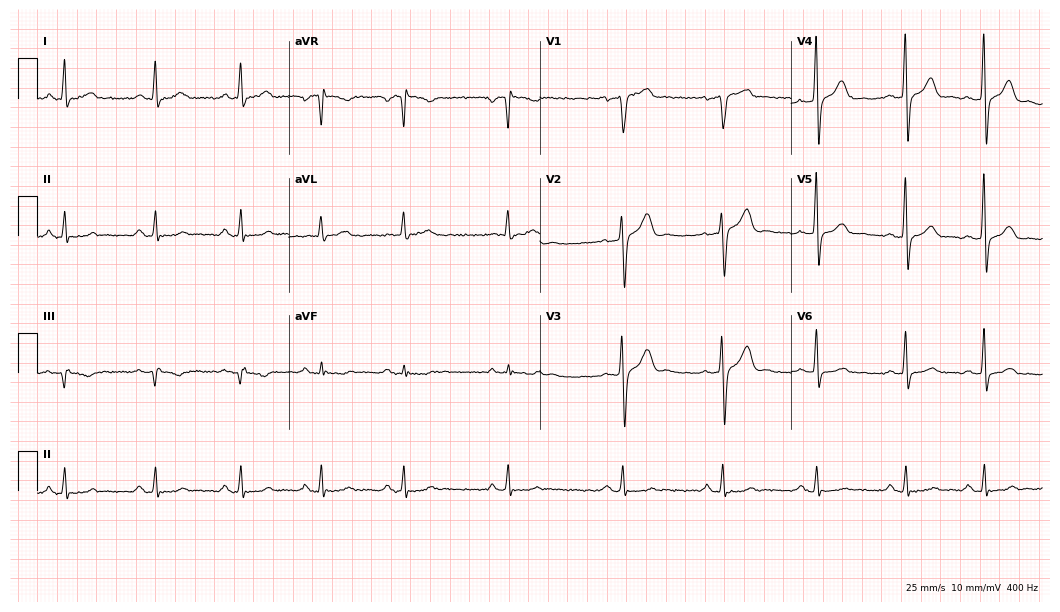
12-lead ECG (10.2-second recording at 400 Hz) from a male, 54 years old. Screened for six findings — first-degree AV block, right bundle branch block (RBBB), left bundle branch block (LBBB), sinus bradycardia, atrial fibrillation (AF), sinus tachycardia — none is recorded. Other findings, if any, are not listed.